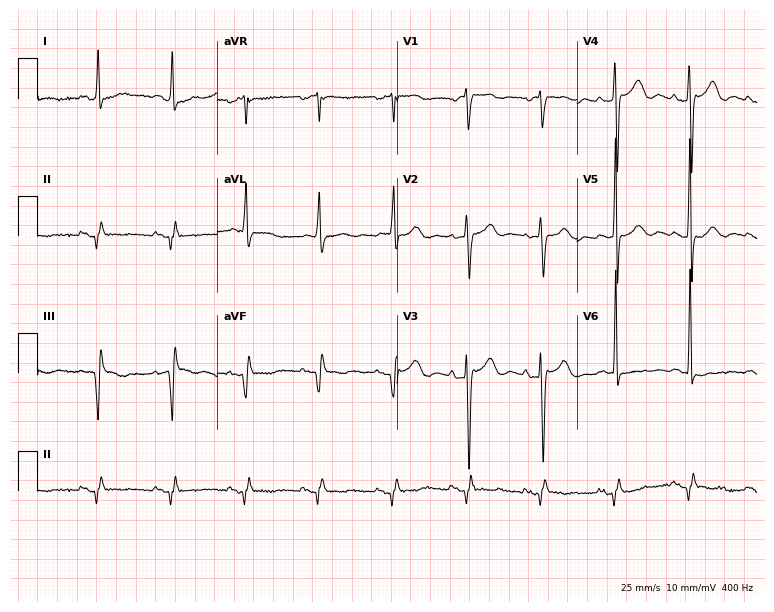
Resting 12-lead electrocardiogram. Patient: a 74-year-old male. None of these six findings is recorded: first-degree AV block, right bundle branch block, left bundle branch block, sinus bradycardia, atrial fibrillation, sinus tachycardia. Other findings, if any, are not listed.